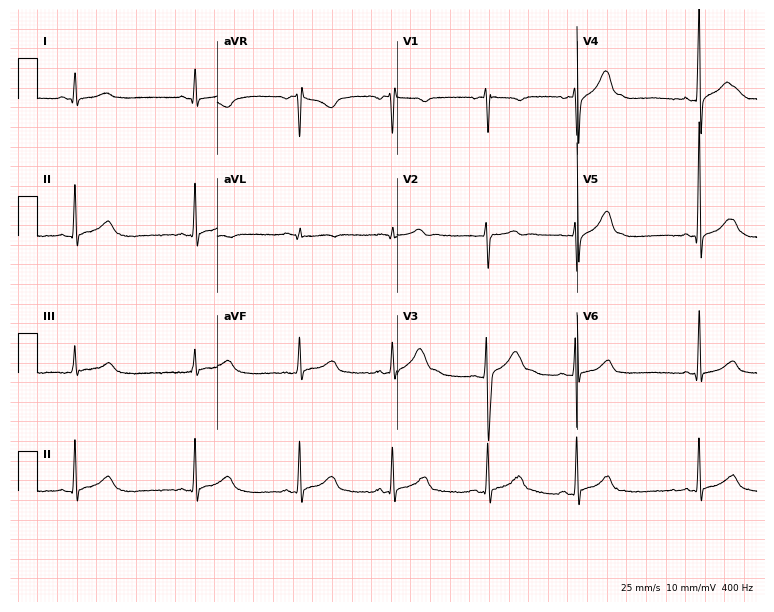
Resting 12-lead electrocardiogram. Patient: a male, 20 years old. None of these six findings is recorded: first-degree AV block, right bundle branch block, left bundle branch block, sinus bradycardia, atrial fibrillation, sinus tachycardia.